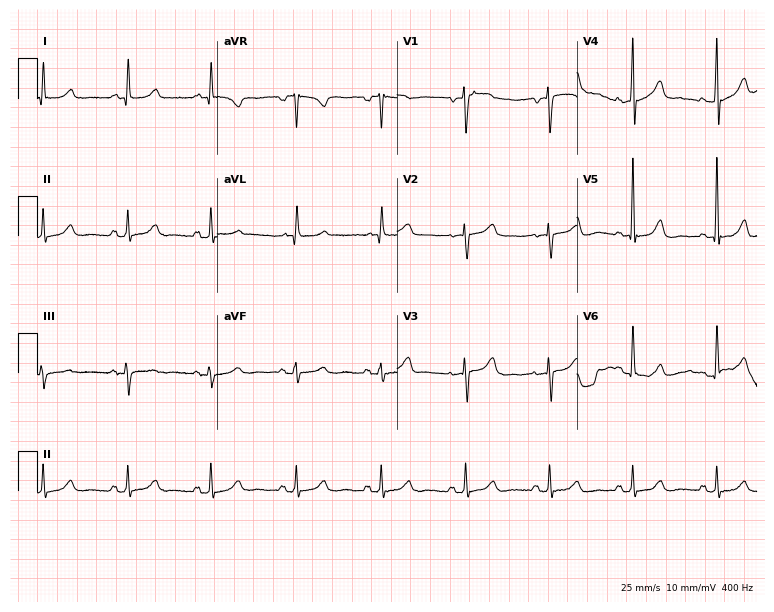
12-lead ECG from a 63-year-old female (7.3-second recording at 400 Hz). Recorded interpretation: within normal limits.